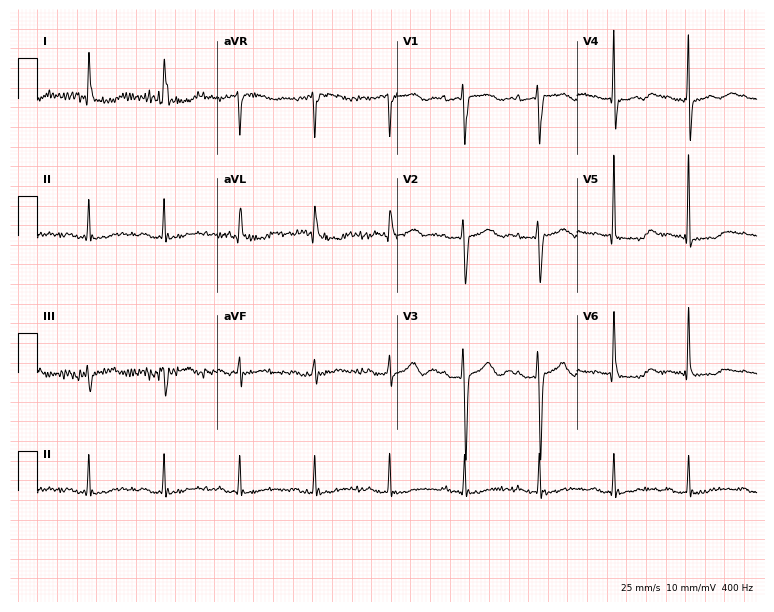
Resting 12-lead electrocardiogram (7.3-second recording at 400 Hz). Patient: a woman, 78 years old. None of these six findings is recorded: first-degree AV block, right bundle branch block, left bundle branch block, sinus bradycardia, atrial fibrillation, sinus tachycardia.